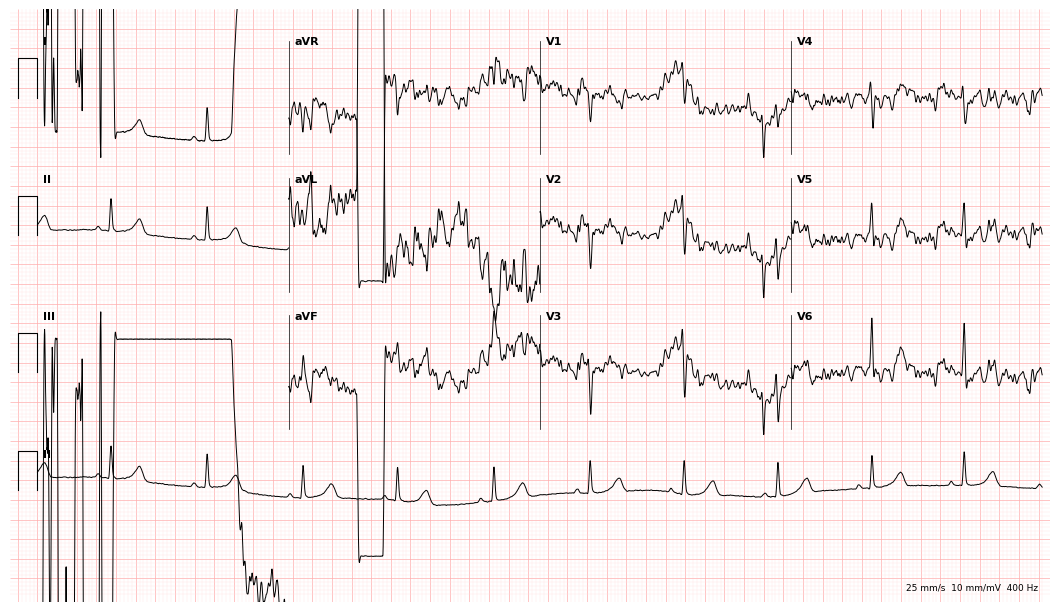
12-lead ECG from a female, 29 years old. Screened for six findings — first-degree AV block, right bundle branch block, left bundle branch block, sinus bradycardia, atrial fibrillation, sinus tachycardia — none is recorded. Findings outside these six are not listed.